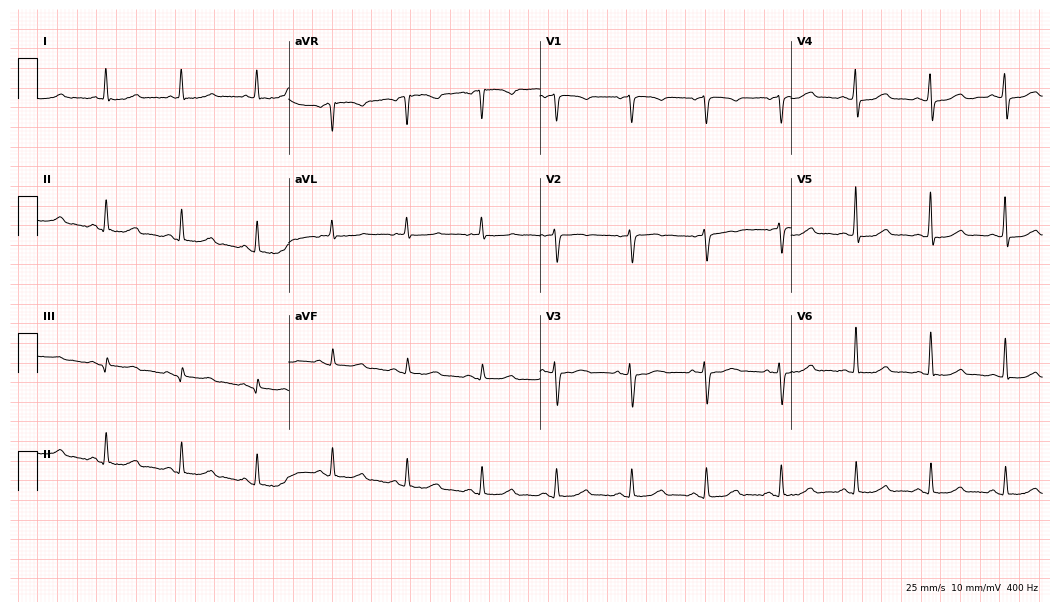
ECG — a woman, 72 years old. Labelled as a normal ECG.